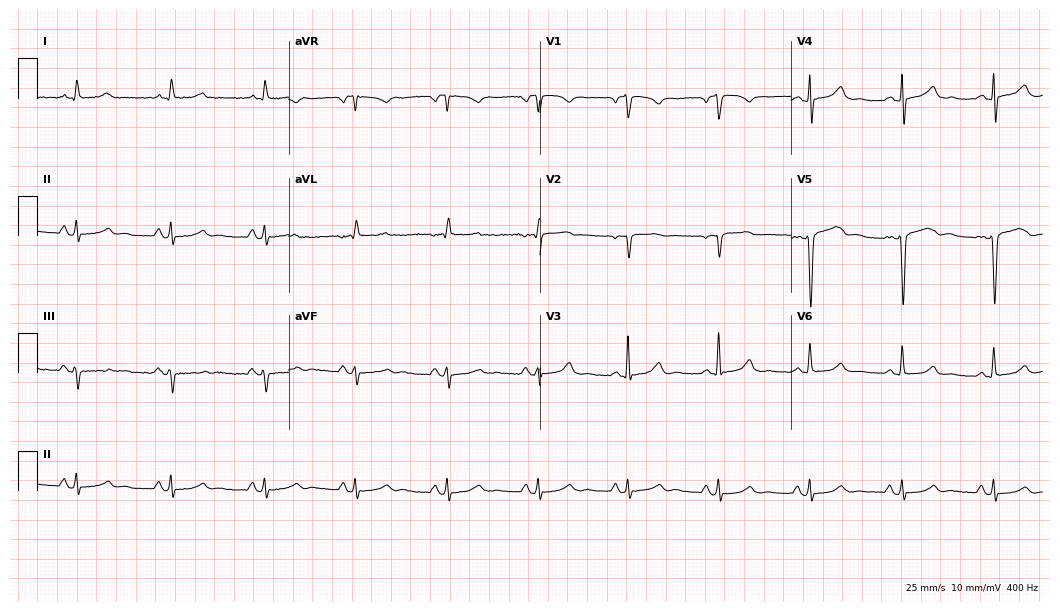
12-lead ECG from a 28-year-old male. No first-degree AV block, right bundle branch block (RBBB), left bundle branch block (LBBB), sinus bradycardia, atrial fibrillation (AF) or sinus tachycardia recorded for this tracing.